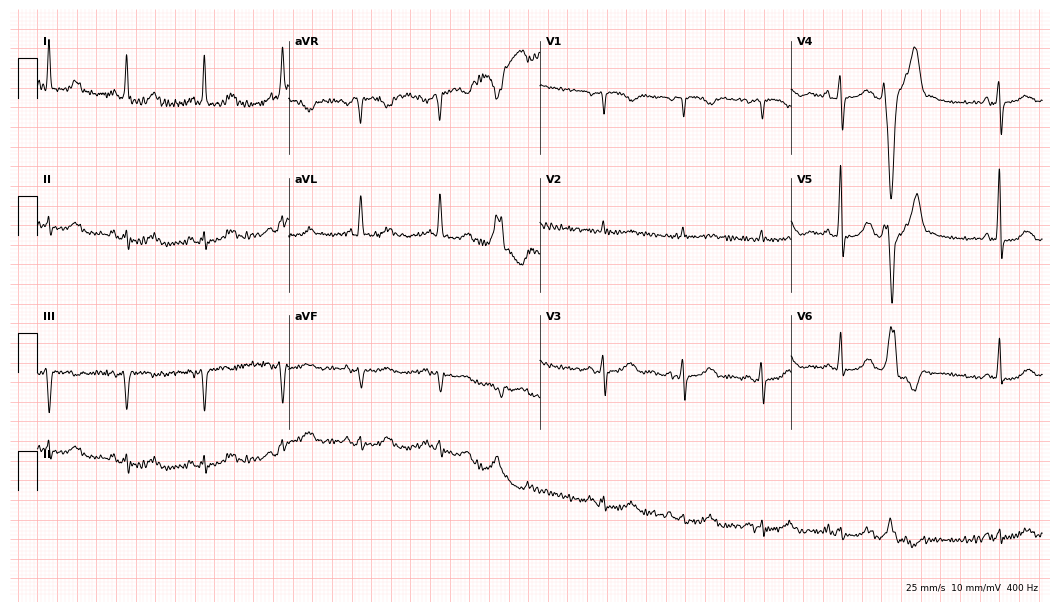
Resting 12-lead electrocardiogram (10.2-second recording at 400 Hz). Patient: a female, 76 years old. None of these six findings is recorded: first-degree AV block, right bundle branch block, left bundle branch block, sinus bradycardia, atrial fibrillation, sinus tachycardia. Only these six findings were labelled.